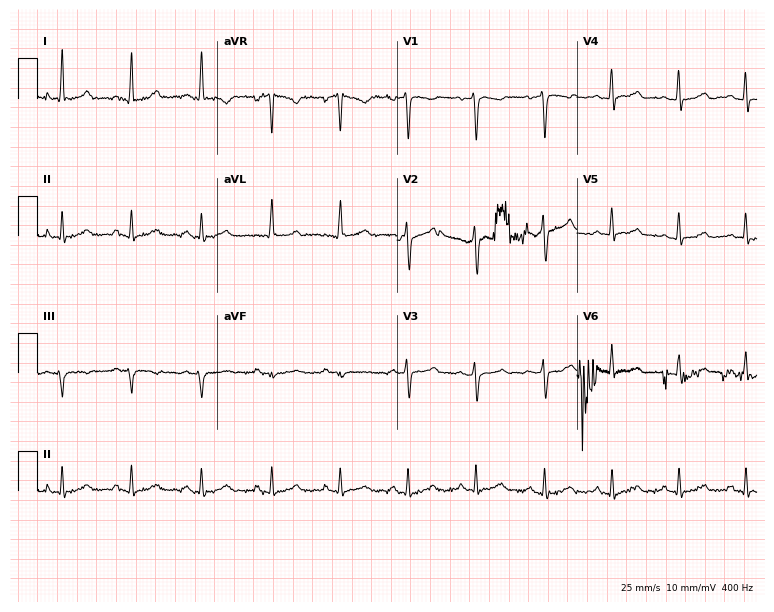
12-lead ECG (7.3-second recording at 400 Hz) from a 36-year-old woman. Labelled as a normal ECG.